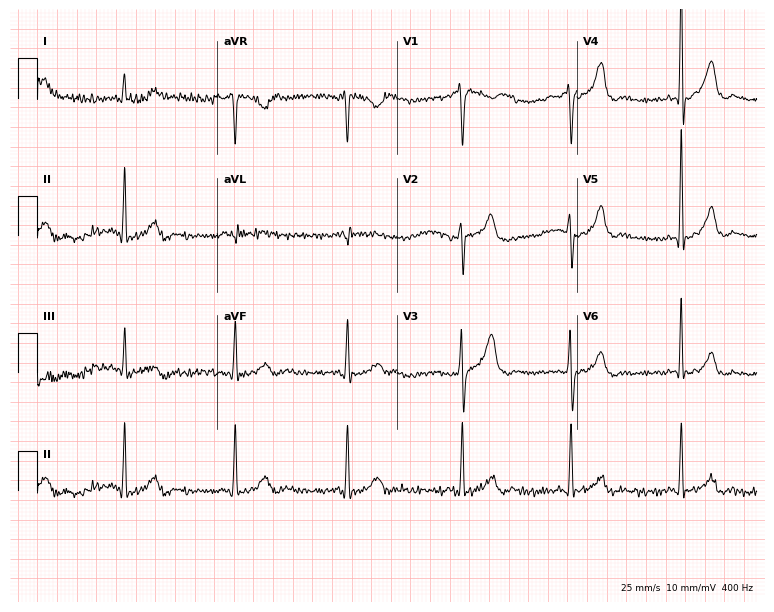
Resting 12-lead electrocardiogram (7.3-second recording at 400 Hz). Patient: a 37-year-old male. None of these six findings is recorded: first-degree AV block, right bundle branch block (RBBB), left bundle branch block (LBBB), sinus bradycardia, atrial fibrillation (AF), sinus tachycardia.